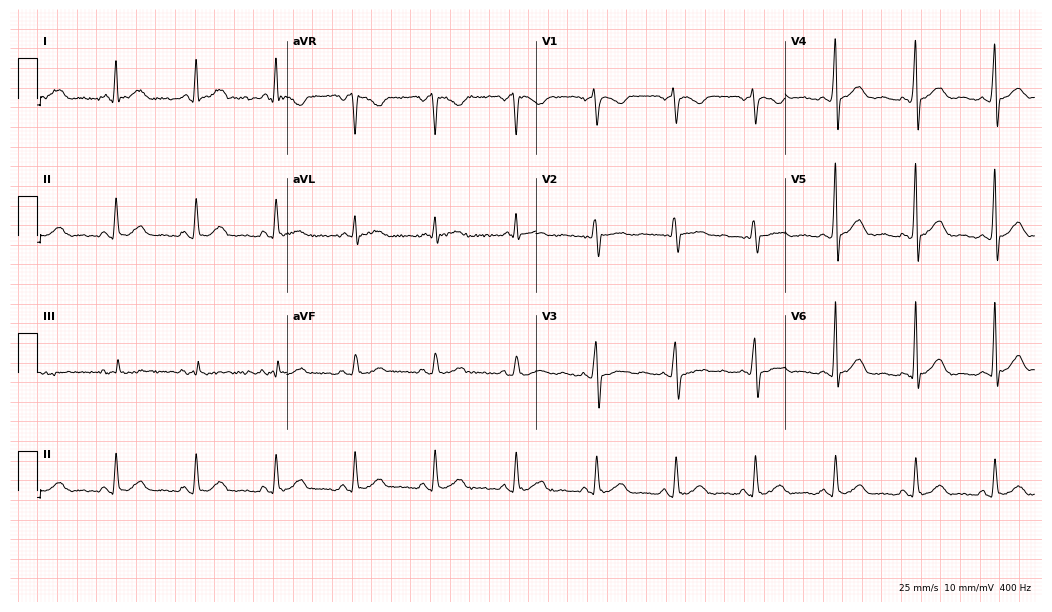
Electrocardiogram, a male patient, 45 years old. Overall reading on record: normal ECG.